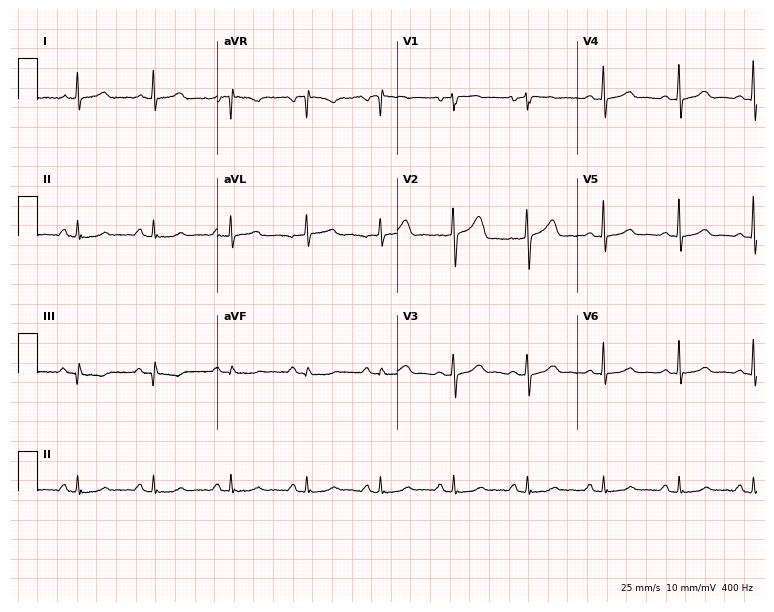
Standard 12-lead ECG recorded from a female patient, 50 years old (7.3-second recording at 400 Hz). None of these six findings is recorded: first-degree AV block, right bundle branch block, left bundle branch block, sinus bradycardia, atrial fibrillation, sinus tachycardia.